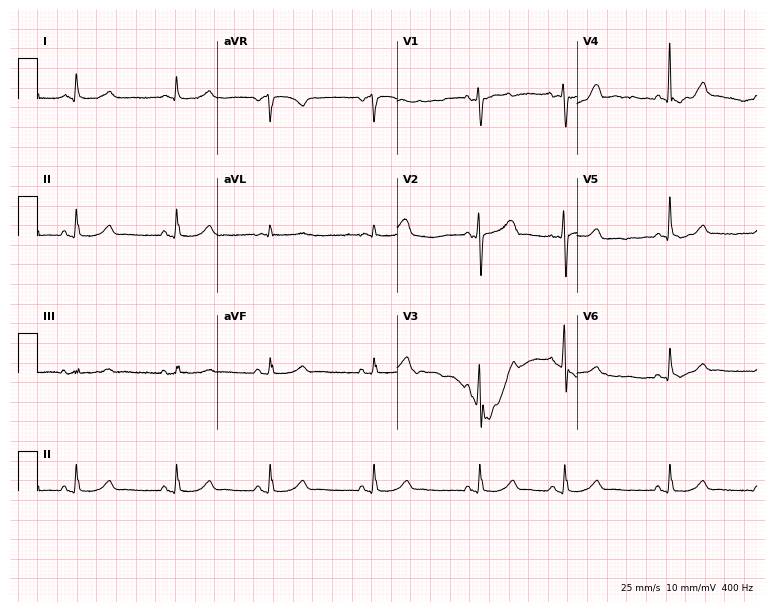
Standard 12-lead ECG recorded from a 65-year-old woman (7.3-second recording at 400 Hz). Read as a normal ECG.